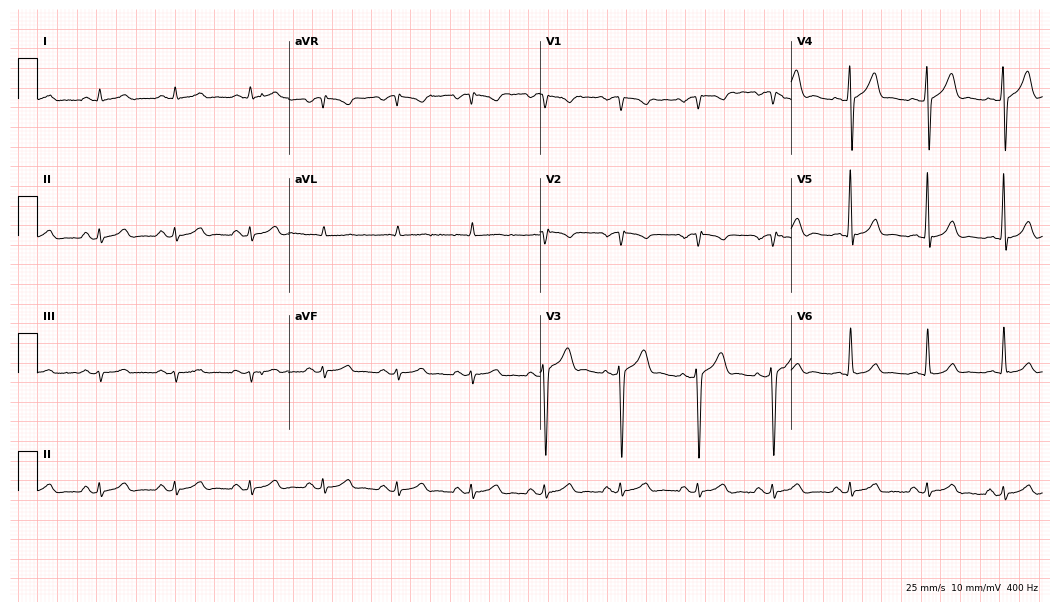
Resting 12-lead electrocardiogram. Patient: a 57-year-old male. None of these six findings is recorded: first-degree AV block, right bundle branch block, left bundle branch block, sinus bradycardia, atrial fibrillation, sinus tachycardia. Other findings, if any, are not listed.